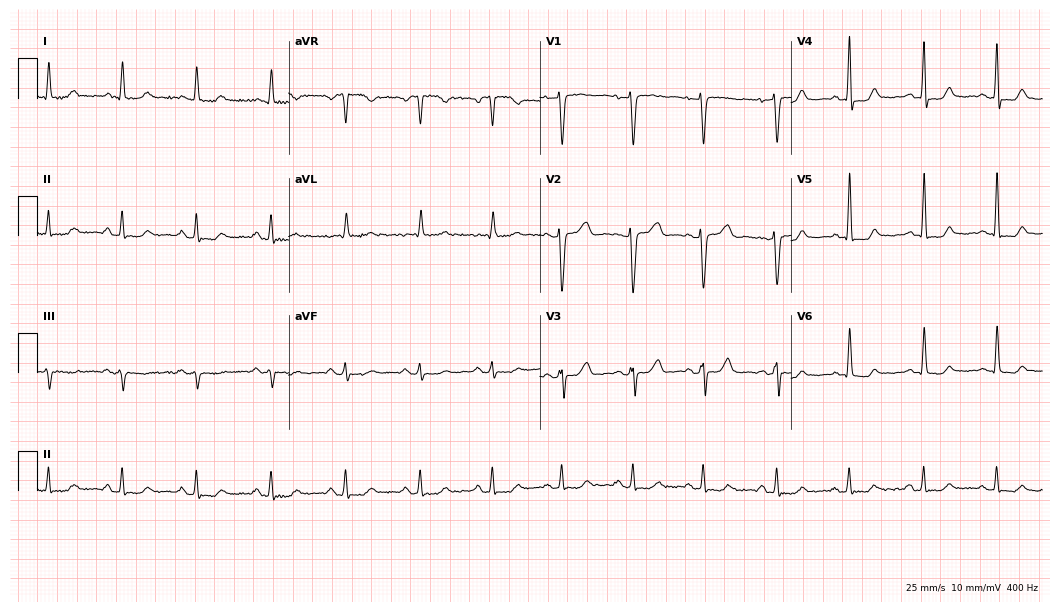
Standard 12-lead ECG recorded from a 50-year-old female patient. None of these six findings is recorded: first-degree AV block, right bundle branch block, left bundle branch block, sinus bradycardia, atrial fibrillation, sinus tachycardia. Other findings, if any, are not listed.